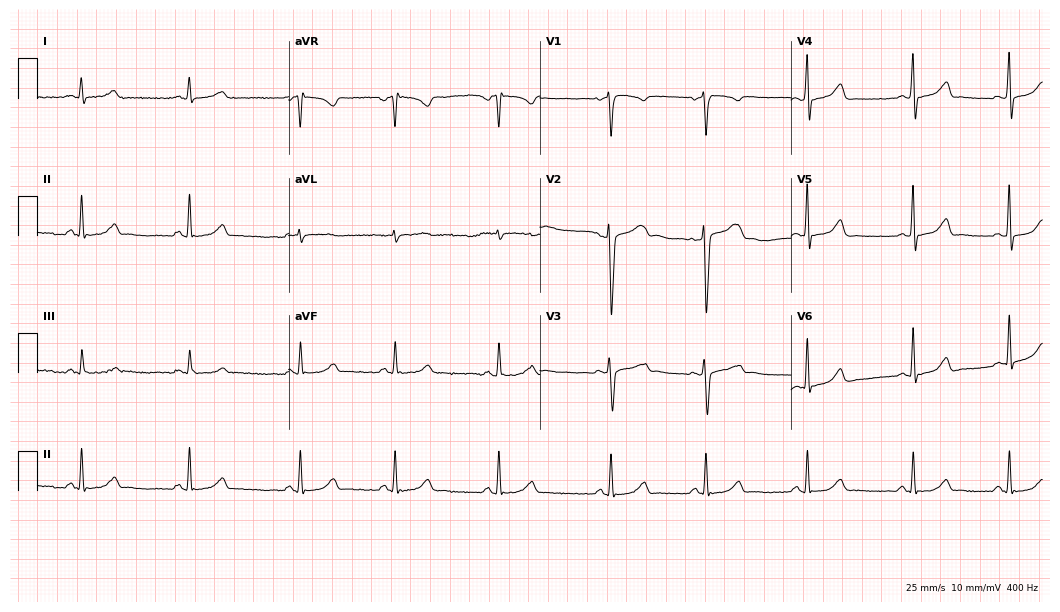
12-lead ECG (10.2-second recording at 400 Hz) from a 34-year-old female. Labelled as a normal ECG.